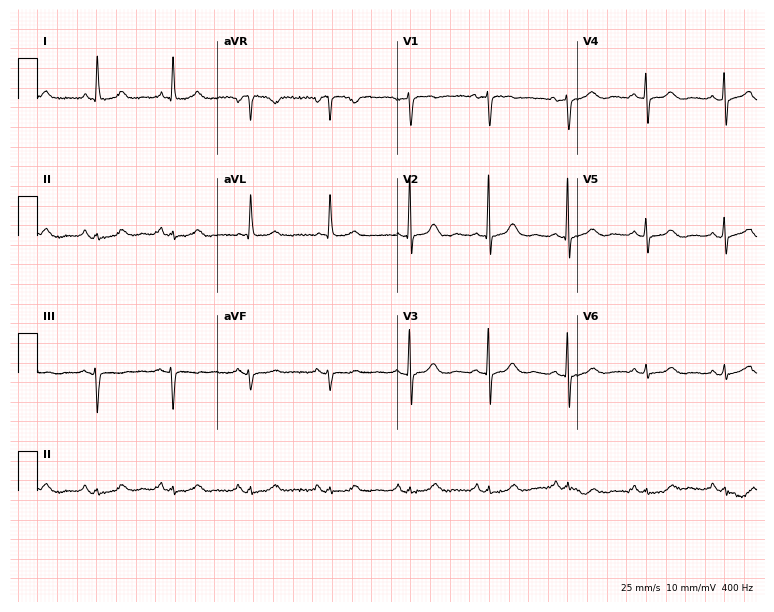
12-lead ECG from a 78-year-old female. Screened for six findings — first-degree AV block, right bundle branch block (RBBB), left bundle branch block (LBBB), sinus bradycardia, atrial fibrillation (AF), sinus tachycardia — none is recorded. Other findings, if any, are not listed.